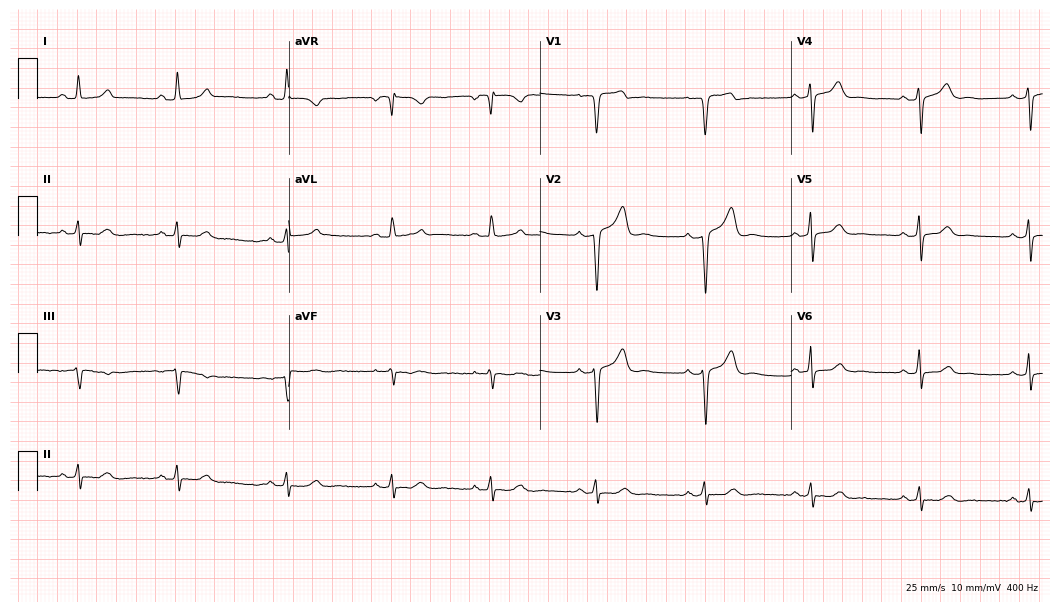
ECG — a woman, 39 years old. Screened for six findings — first-degree AV block, right bundle branch block, left bundle branch block, sinus bradycardia, atrial fibrillation, sinus tachycardia — none is recorded.